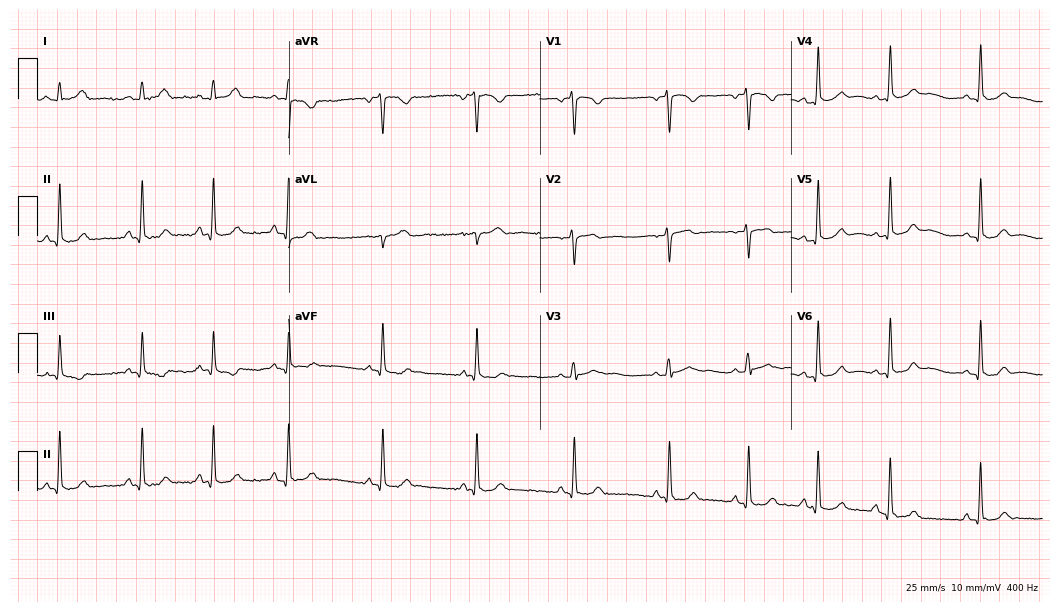
ECG — a 20-year-old female patient. Labelled as a normal ECG.